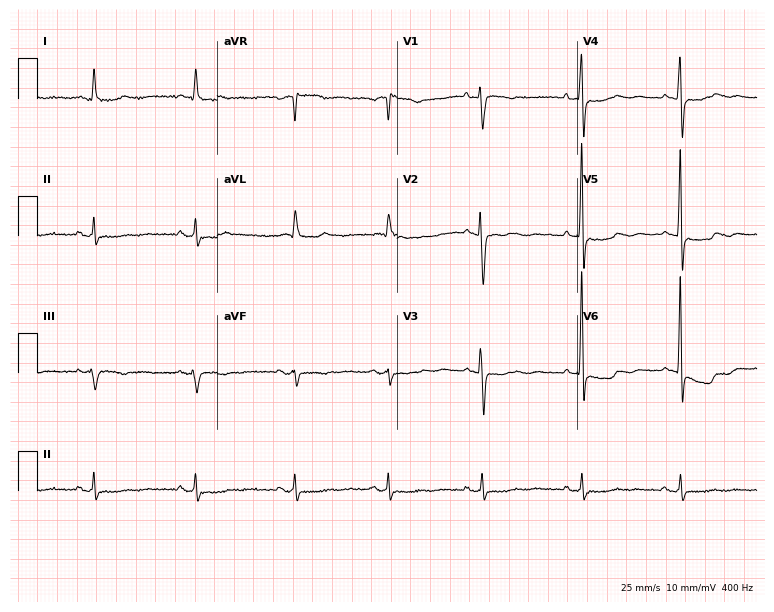
12-lead ECG (7.3-second recording at 400 Hz) from a female patient, 74 years old. Screened for six findings — first-degree AV block, right bundle branch block, left bundle branch block, sinus bradycardia, atrial fibrillation, sinus tachycardia — none is recorded.